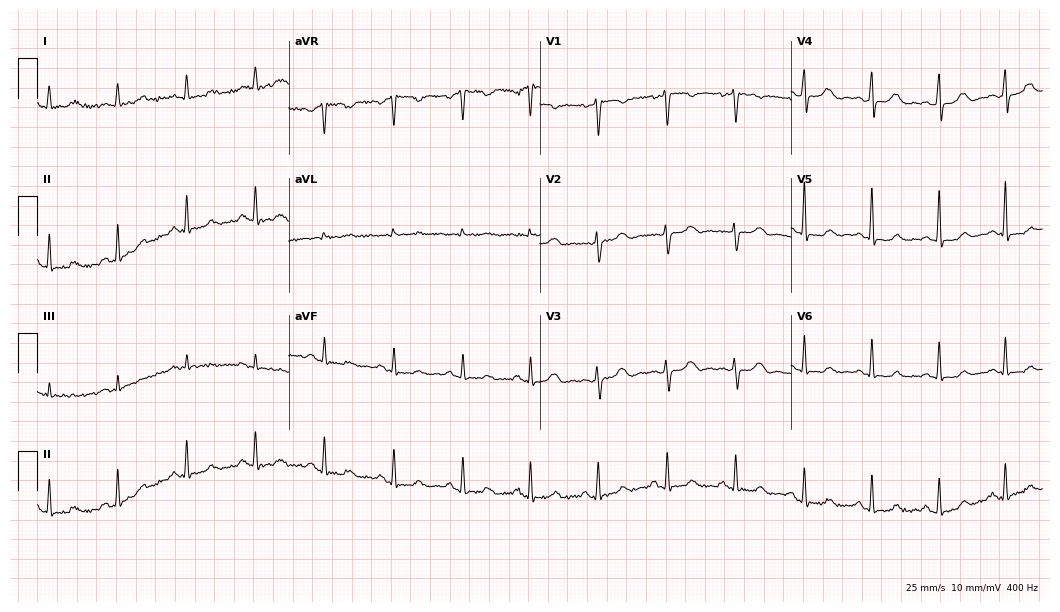
12-lead ECG (10.2-second recording at 400 Hz) from a female patient, 37 years old. Labelled as a normal ECG.